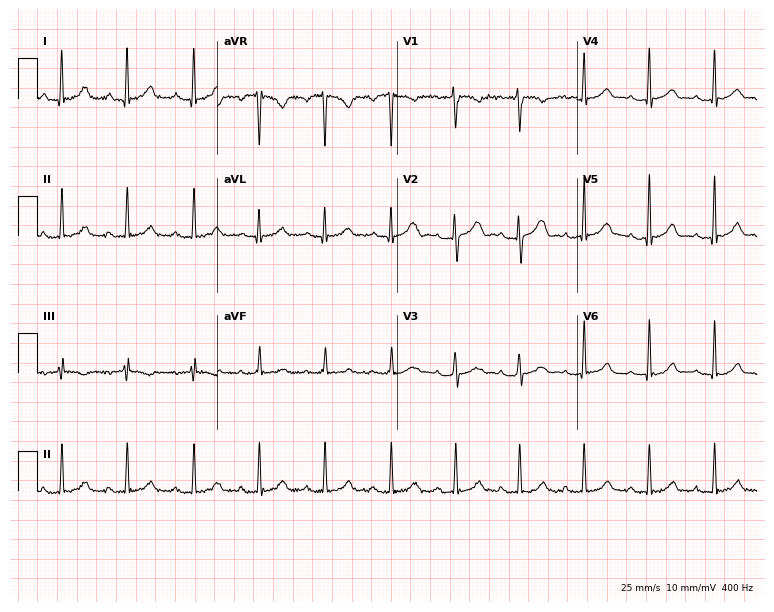
12-lead ECG from a 30-year-old female. Screened for six findings — first-degree AV block, right bundle branch block, left bundle branch block, sinus bradycardia, atrial fibrillation, sinus tachycardia — none is recorded.